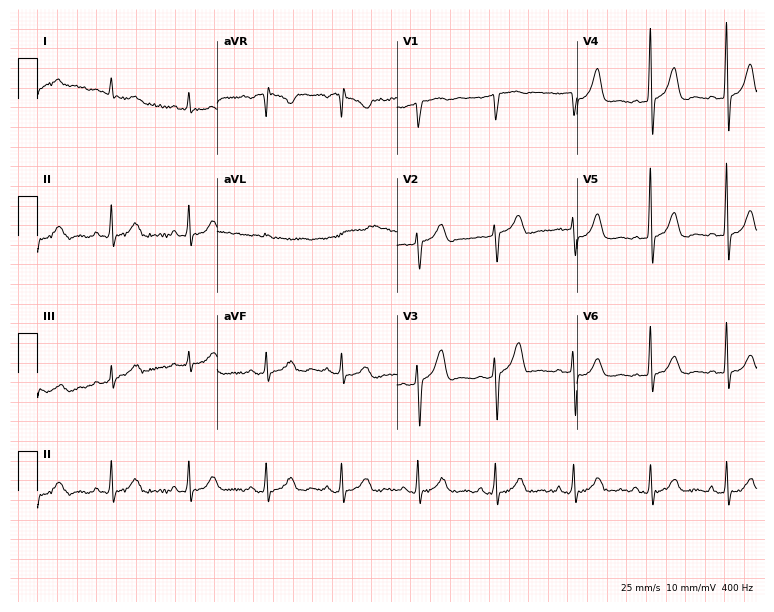
Electrocardiogram (7.3-second recording at 400 Hz), a female patient, 51 years old. Of the six screened findings (first-degree AV block, right bundle branch block, left bundle branch block, sinus bradycardia, atrial fibrillation, sinus tachycardia), none is recorded. Only these six findings were labelled.